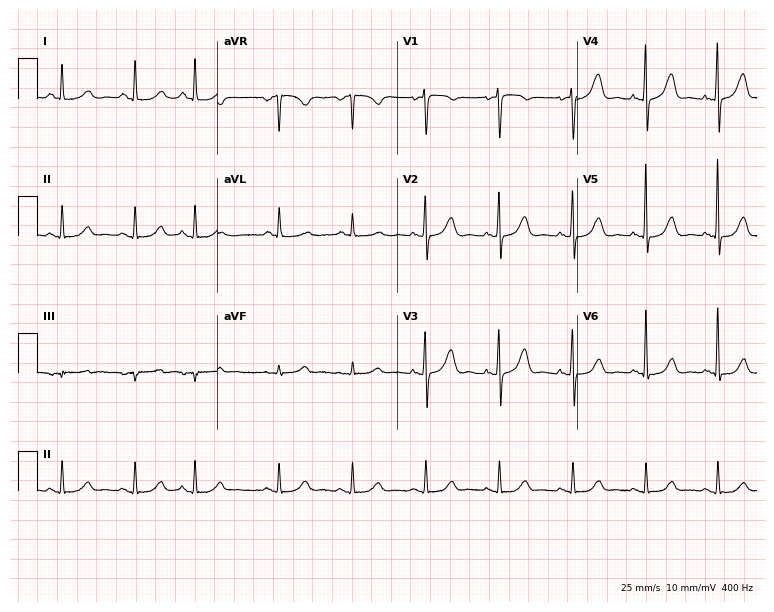
Standard 12-lead ECG recorded from a 66-year-old female. None of these six findings is recorded: first-degree AV block, right bundle branch block, left bundle branch block, sinus bradycardia, atrial fibrillation, sinus tachycardia. Other findings, if any, are not listed.